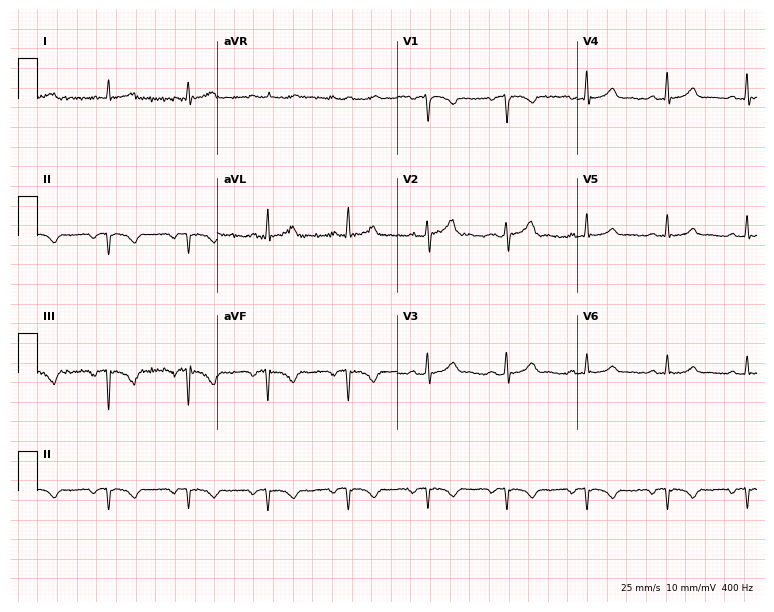
Resting 12-lead electrocardiogram. Patient: a 58-year-old woman. None of these six findings is recorded: first-degree AV block, right bundle branch block, left bundle branch block, sinus bradycardia, atrial fibrillation, sinus tachycardia.